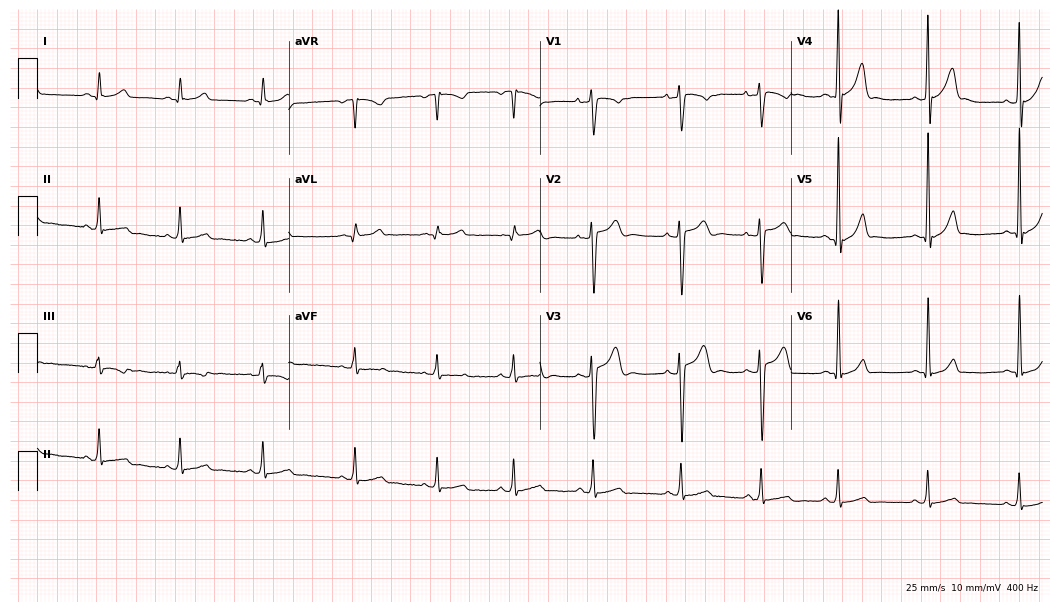
Standard 12-lead ECG recorded from a 20-year-old man. Read as a normal ECG.